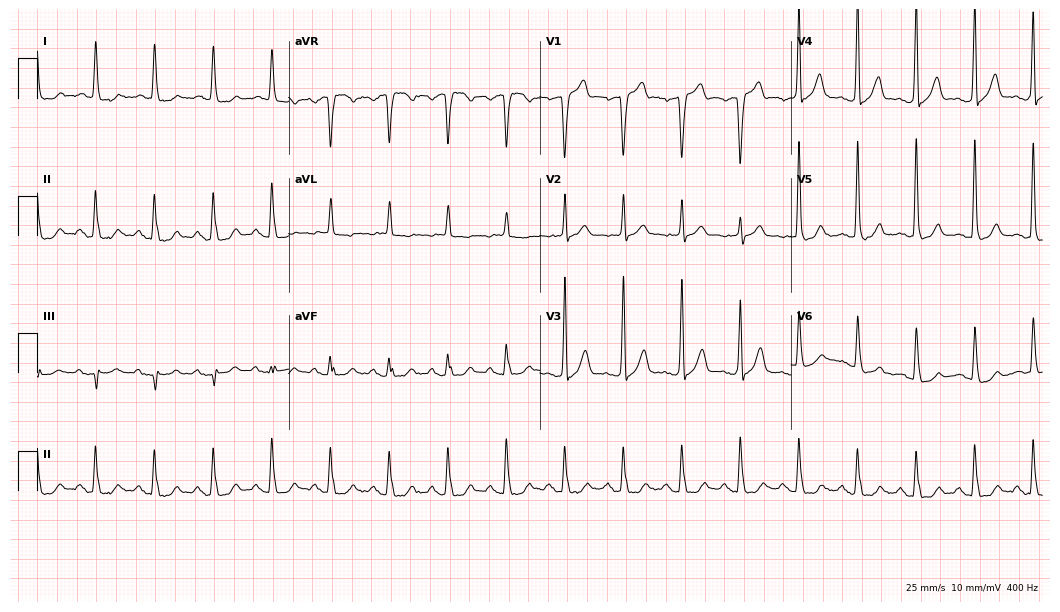
12-lead ECG from a 79-year-old male patient (10.2-second recording at 400 Hz). No first-degree AV block, right bundle branch block, left bundle branch block, sinus bradycardia, atrial fibrillation or sinus tachycardia recorded for this tracing. Other findings, if any, are not listed.